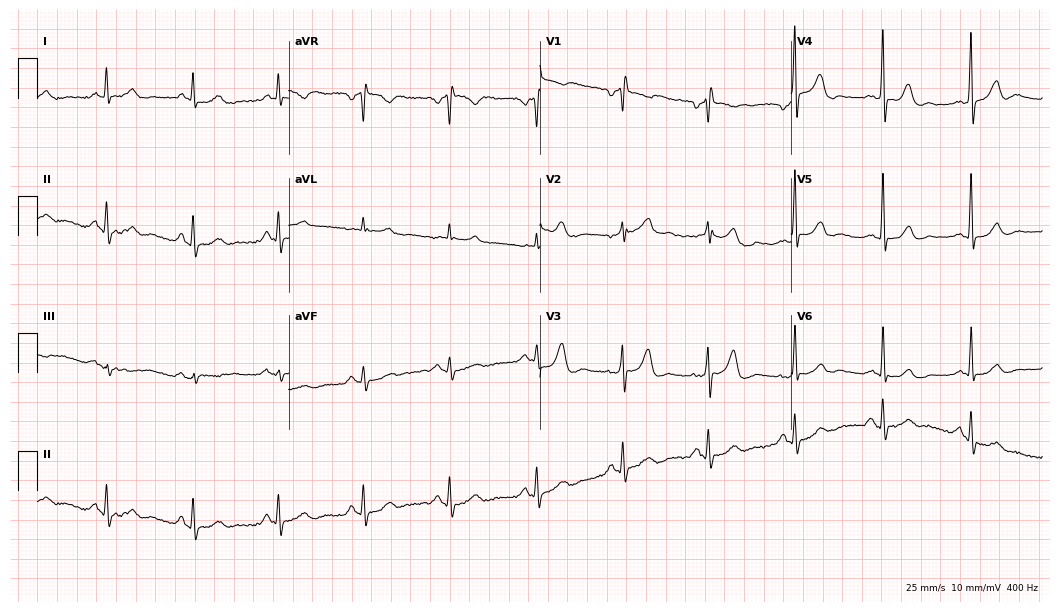
Electrocardiogram (10.2-second recording at 400 Hz), a 74-year-old male patient. Of the six screened findings (first-degree AV block, right bundle branch block (RBBB), left bundle branch block (LBBB), sinus bradycardia, atrial fibrillation (AF), sinus tachycardia), none is recorded.